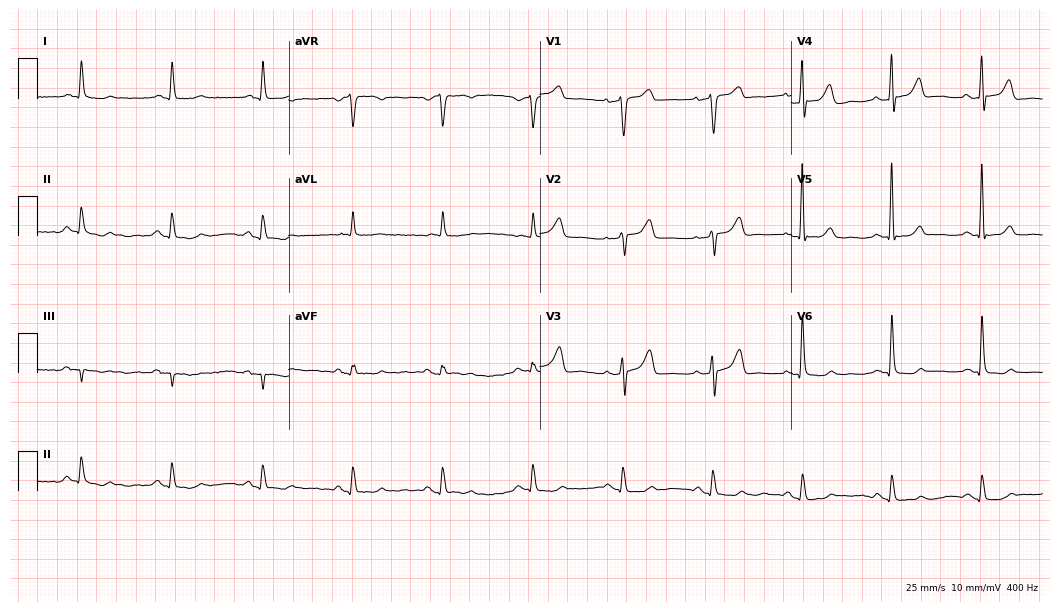
Standard 12-lead ECG recorded from a female, 71 years old (10.2-second recording at 400 Hz). None of these six findings is recorded: first-degree AV block, right bundle branch block (RBBB), left bundle branch block (LBBB), sinus bradycardia, atrial fibrillation (AF), sinus tachycardia.